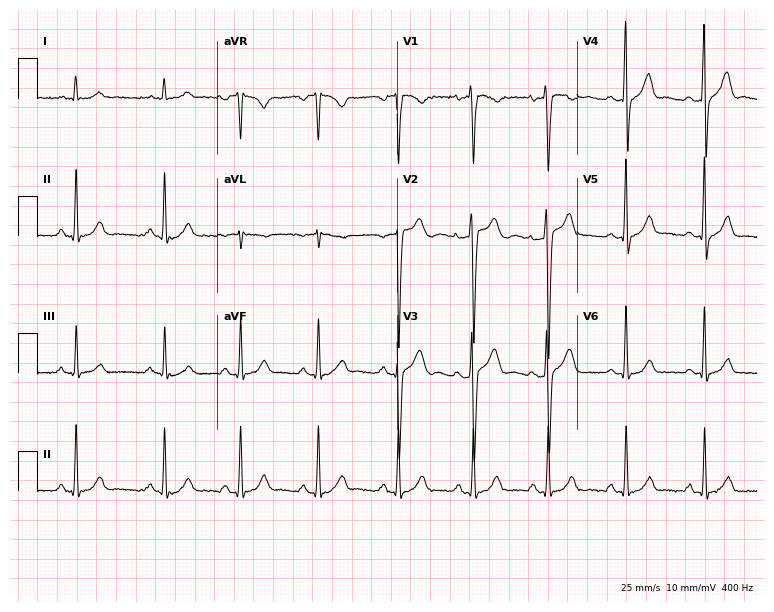
ECG — a 22-year-old male. Labelled as a normal ECG.